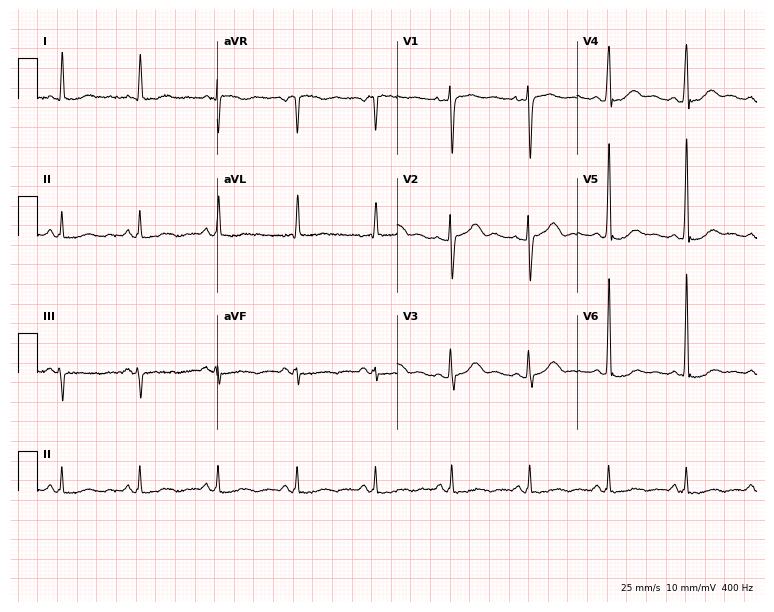
12-lead ECG from a male, 54 years old. No first-degree AV block, right bundle branch block, left bundle branch block, sinus bradycardia, atrial fibrillation or sinus tachycardia recorded for this tracing. Findings outside these six are not listed.